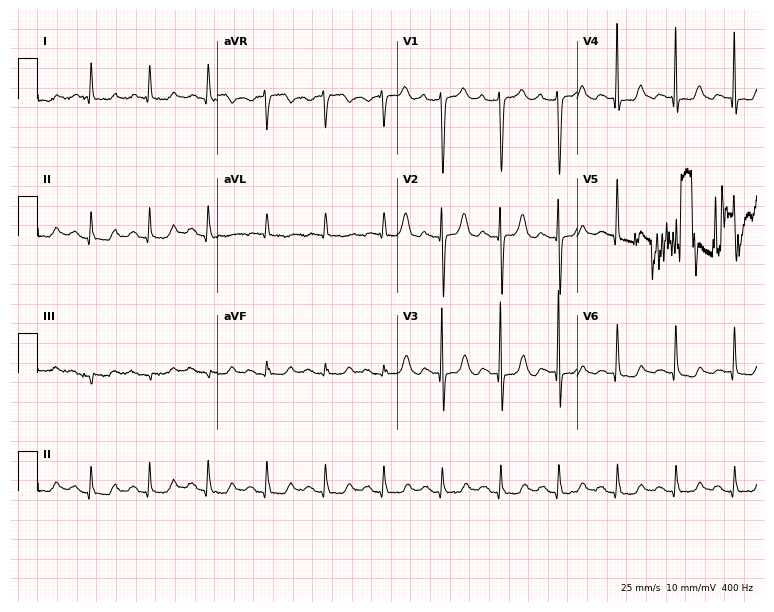
12-lead ECG from a woman, 79 years old. Shows first-degree AV block.